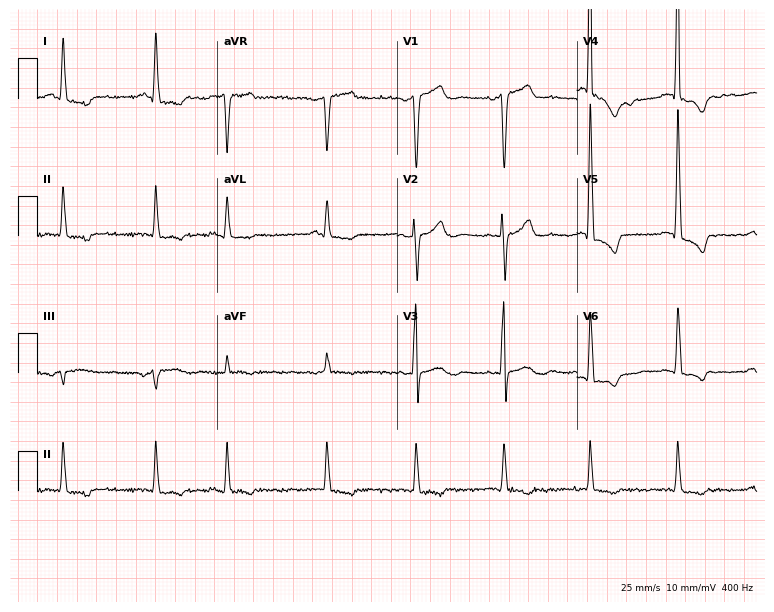
Electrocardiogram, an 80-year-old male. Of the six screened findings (first-degree AV block, right bundle branch block, left bundle branch block, sinus bradycardia, atrial fibrillation, sinus tachycardia), none is recorded.